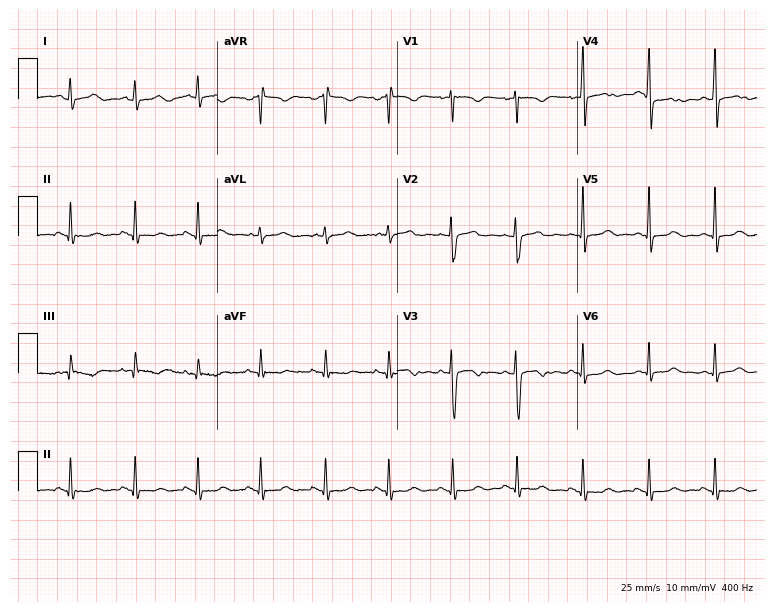
Standard 12-lead ECG recorded from a woman, 17 years old (7.3-second recording at 400 Hz). Read as a normal ECG.